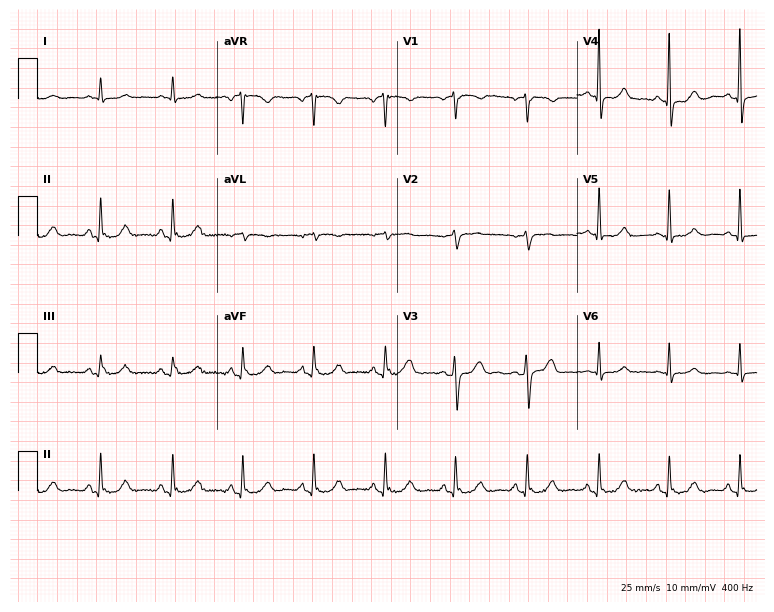
Standard 12-lead ECG recorded from a female, 59 years old (7.3-second recording at 400 Hz). None of these six findings is recorded: first-degree AV block, right bundle branch block, left bundle branch block, sinus bradycardia, atrial fibrillation, sinus tachycardia.